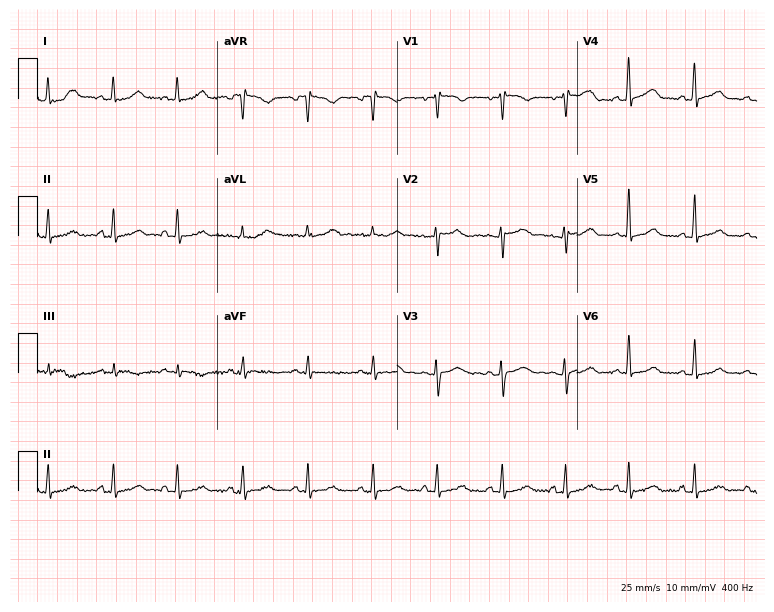
Electrocardiogram, a female, 39 years old. Overall reading on record: normal ECG.